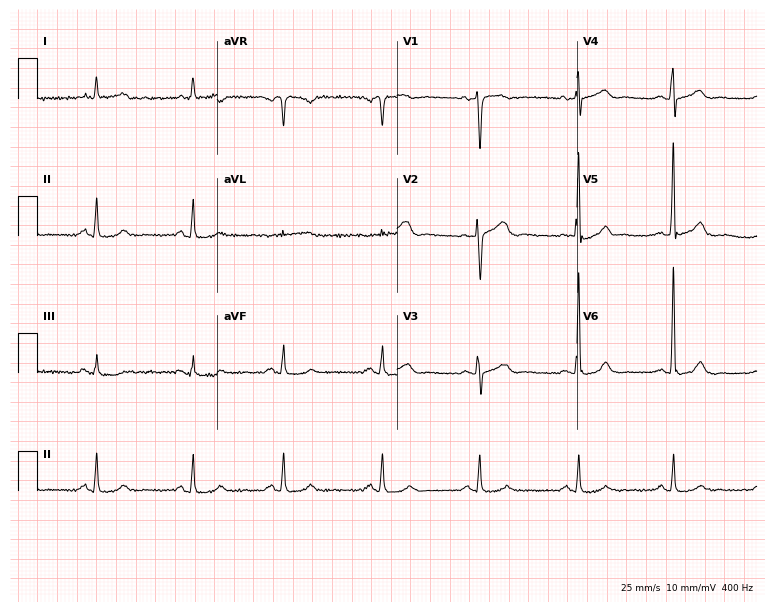
12-lead ECG from a 66-year-old male patient (7.3-second recording at 400 Hz). No first-degree AV block, right bundle branch block (RBBB), left bundle branch block (LBBB), sinus bradycardia, atrial fibrillation (AF) or sinus tachycardia recorded for this tracing.